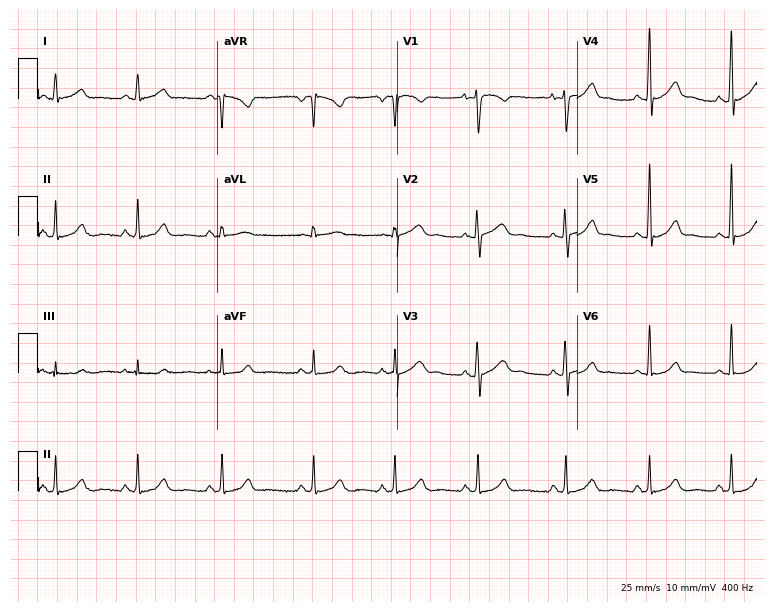
12-lead ECG from a female, 38 years old. Labelled as a normal ECG.